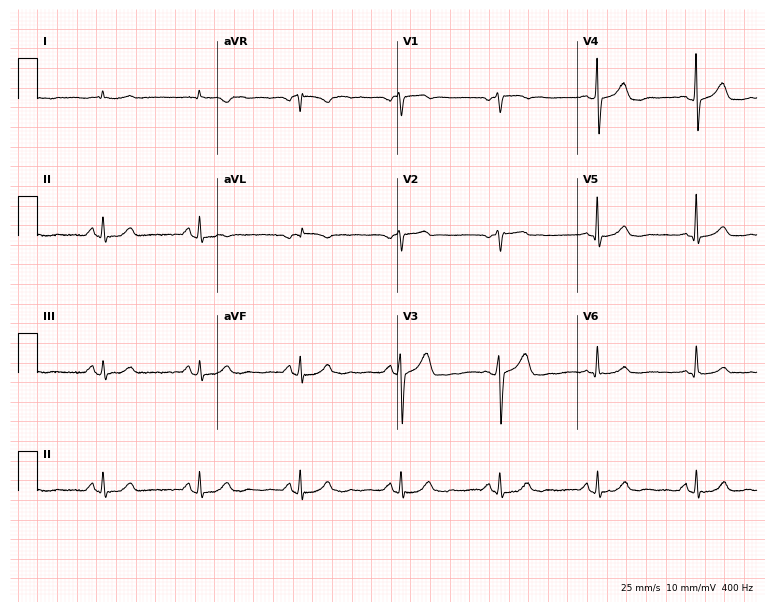
12-lead ECG from a male, 64 years old. Shows sinus bradycardia (a sinus rate of 50 beats per minute or less).